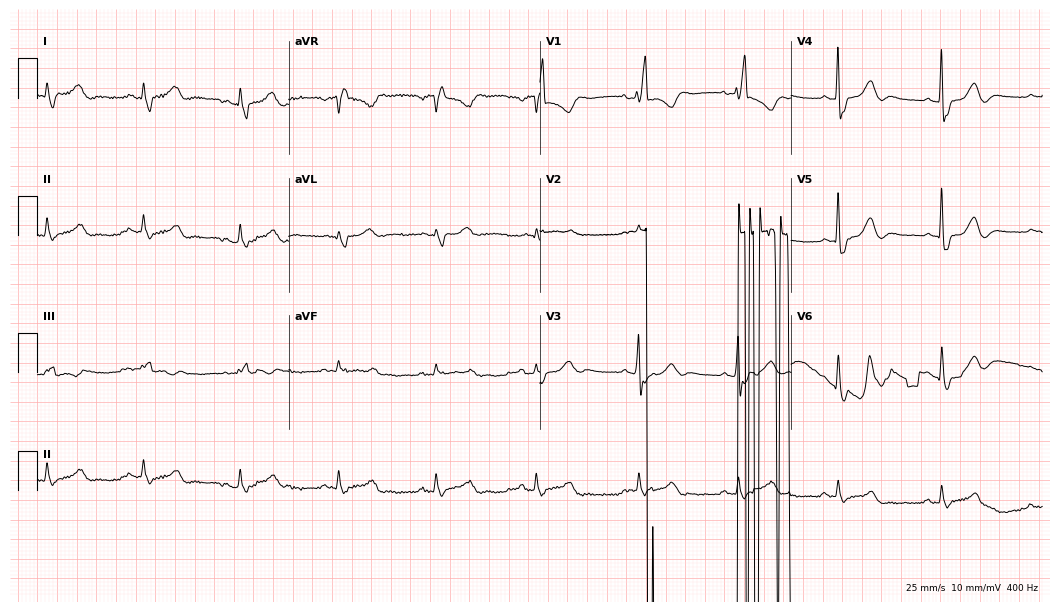
Resting 12-lead electrocardiogram. Patient: a 79-year-old man. None of these six findings is recorded: first-degree AV block, right bundle branch block, left bundle branch block, sinus bradycardia, atrial fibrillation, sinus tachycardia. Only these six findings were labelled.